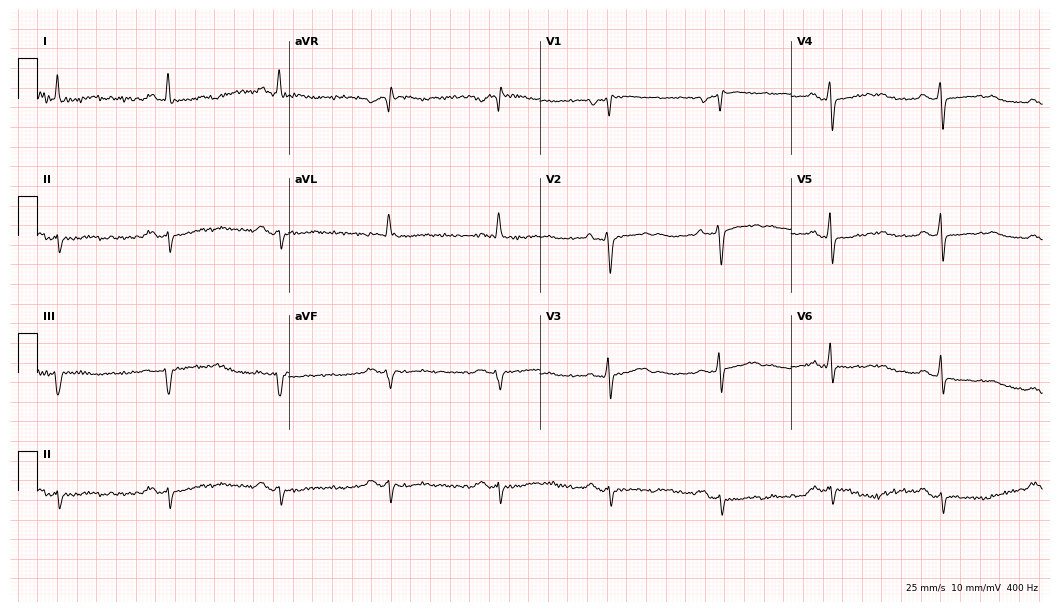
12-lead ECG from a female patient, 59 years old. Recorded interpretation: within normal limits.